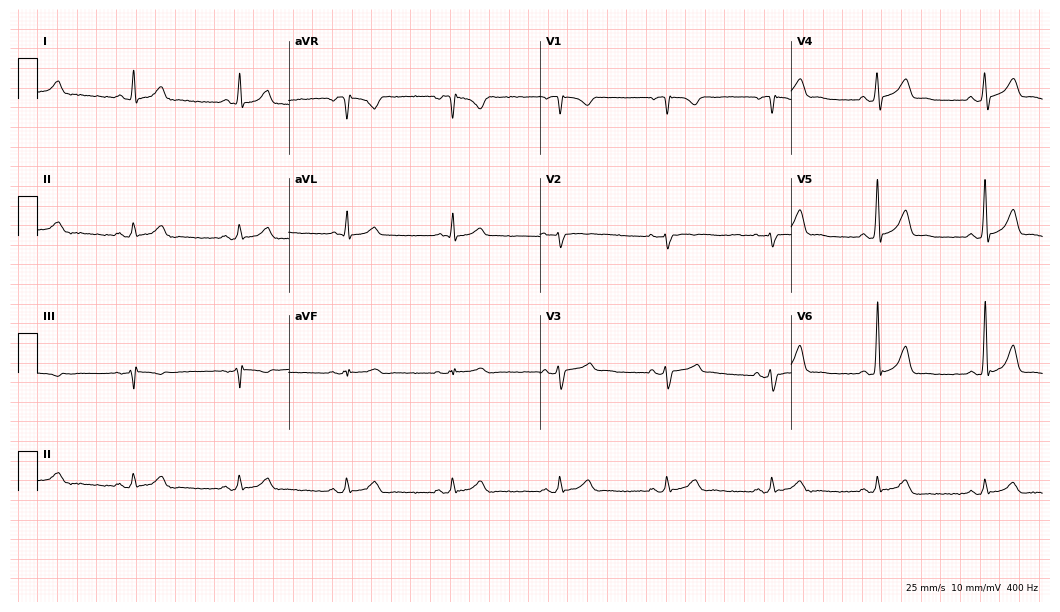
ECG — a man, 45 years old. Labelled as a normal ECG.